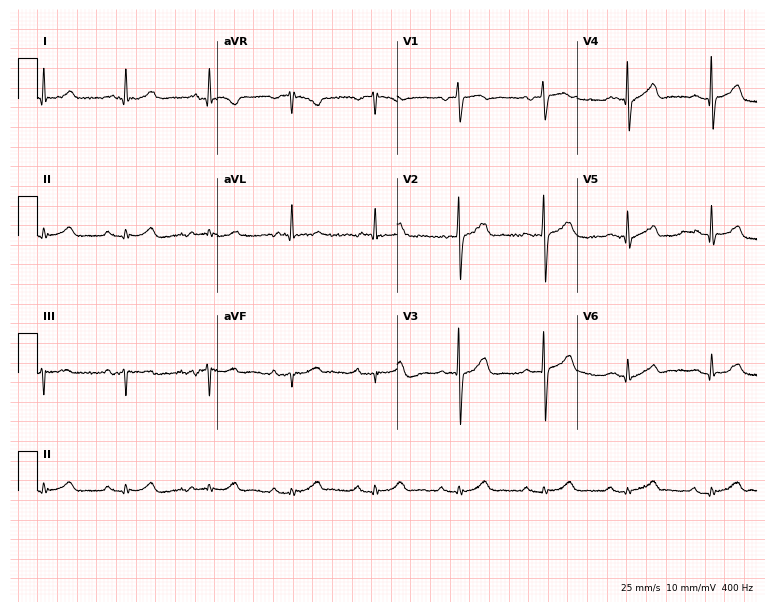
Electrocardiogram (7.3-second recording at 400 Hz), an 84-year-old woman. Overall reading on record: normal ECG.